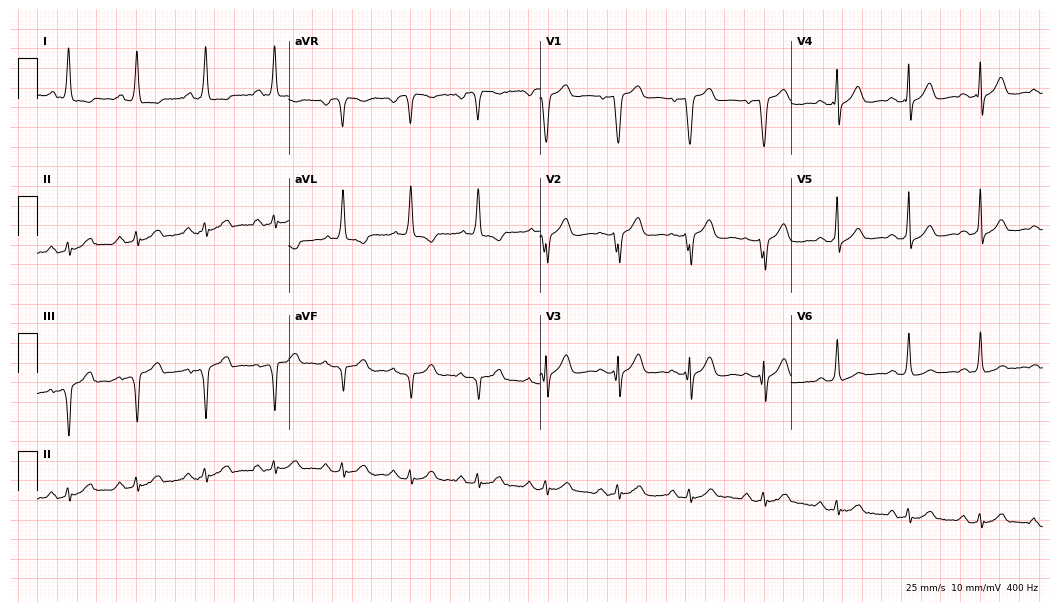
12-lead ECG from an 85-year-old female. No first-degree AV block, right bundle branch block, left bundle branch block, sinus bradycardia, atrial fibrillation or sinus tachycardia recorded for this tracing. Other findings, if any, are not listed.